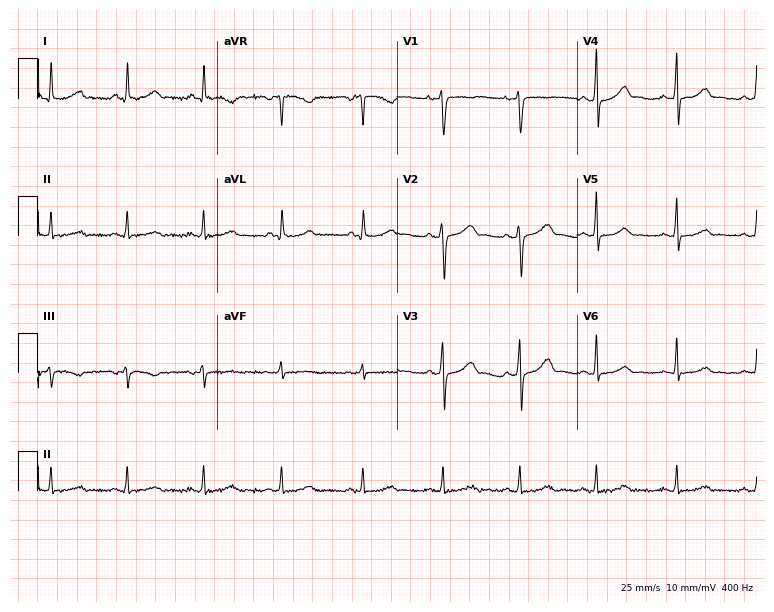
Standard 12-lead ECG recorded from a female, 34 years old (7.3-second recording at 400 Hz). Read as a normal ECG.